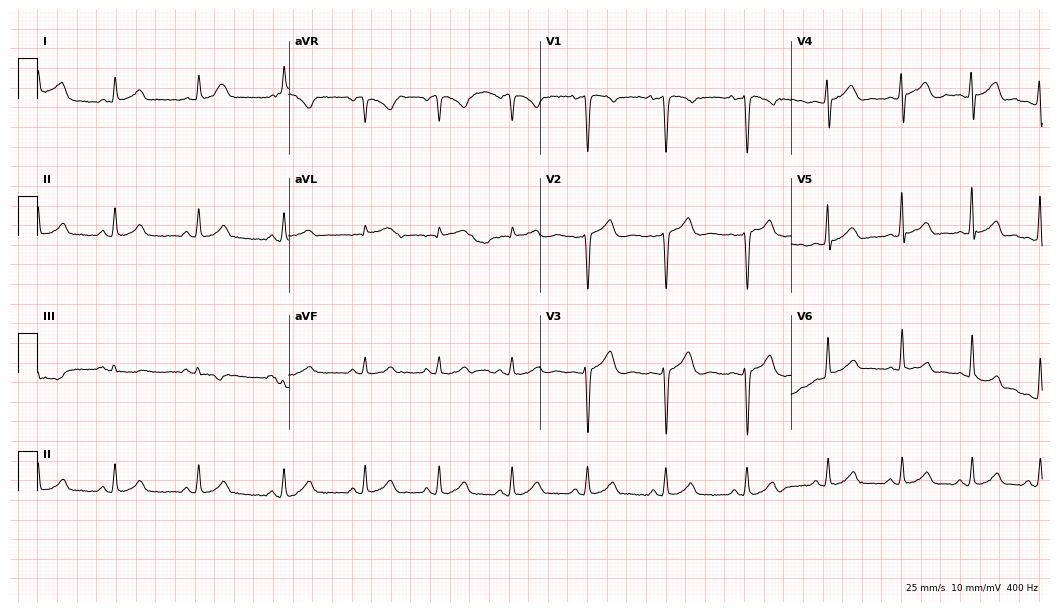
12-lead ECG from a 21-year-old male (10.2-second recording at 400 Hz). No first-degree AV block, right bundle branch block, left bundle branch block, sinus bradycardia, atrial fibrillation or sinus tachycardia recorded for this tracing. Other findings, if any, are not listed.